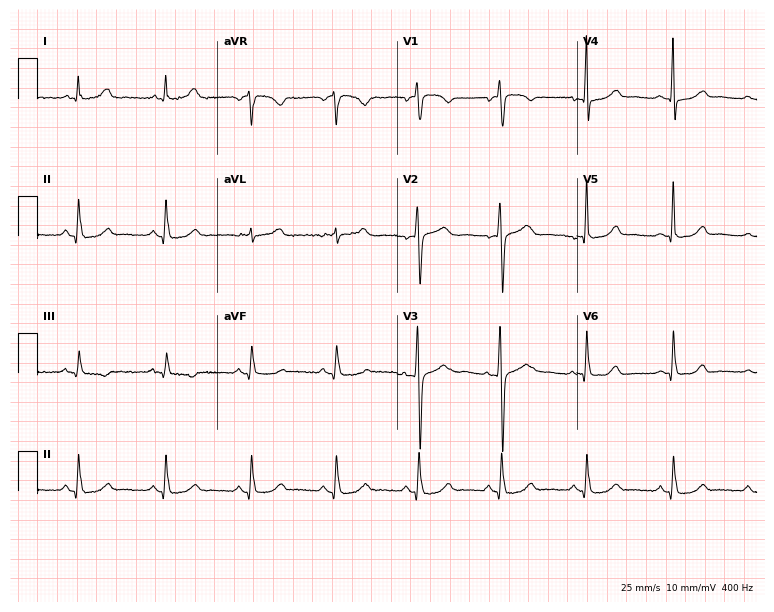
Electrocardiogram (7.3-second recording at 400 Hz), a 66-year-old female patient. Of the six screened findings (first-degree AV block, right bundle branch block, left bundle branch block, sinus bradycardia, atrial fibrillation, sinus tachycardia), none is recorded.